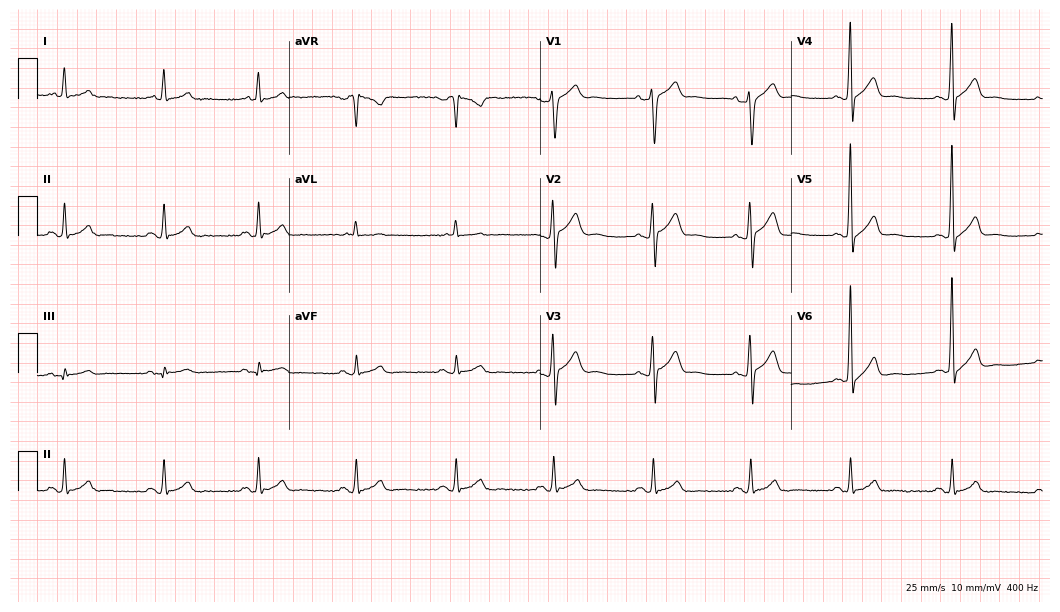
12-lead ECG from a man, 27 years old. Screened for six findings — first-degree AV block, right bundle branch block, left bundle branch block, sinus bradycardia, atrial fibrillation, sinus tachycardia — none is recorded. Findings outside these six are not listed.